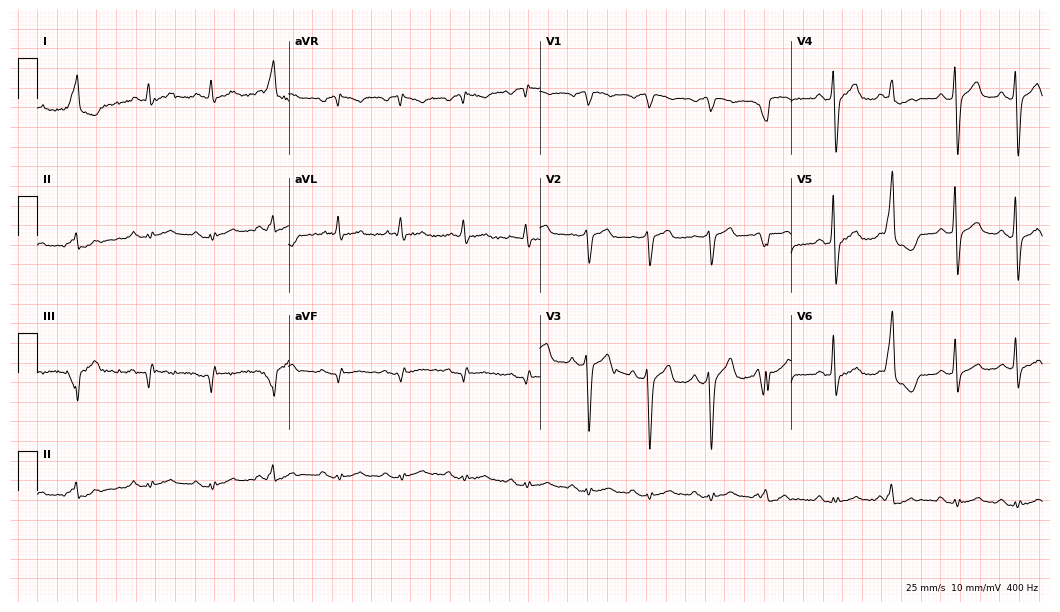
12-lead ECG from a 71-year-old man. Screened for six findings — first-degree AV block, right bundle branch block, left bundle branch block, sinus bradycardia, atrial fibrillation, sinus tachycardia — none is recorded. Other findings, if any, are not listed.